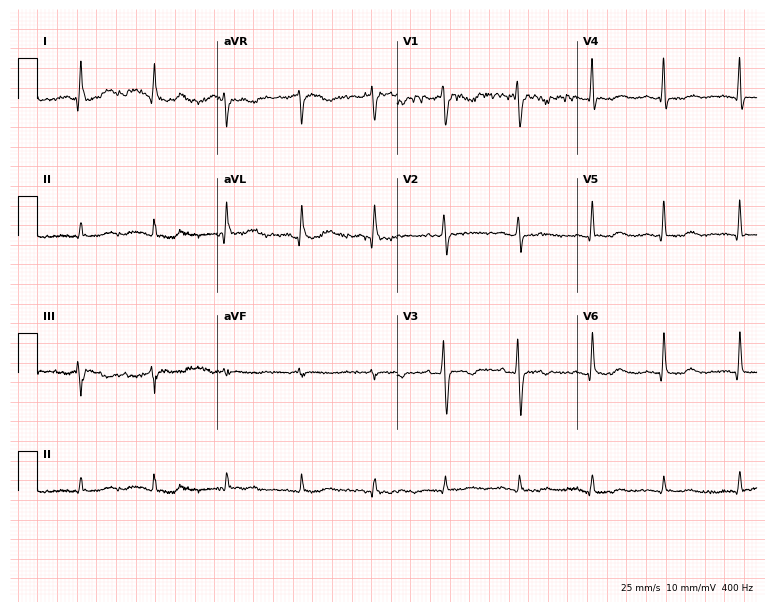
12-lead ECG from a 51-year-old female patient. Screened for six findings — first-degree AV block, right bundle branch block, left bundle branch block, sinus bradycardia, atrial fibrillation, sinus tachycardia — none is recorded. Other findings, if any, are not listed.